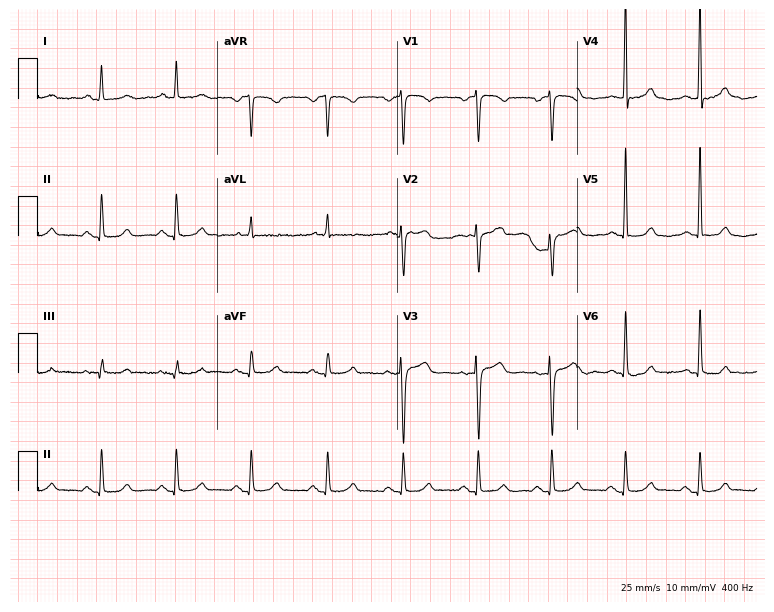
Standard 12-lead ECG recorded from a 79-year-old female. Read as a normal ECG.